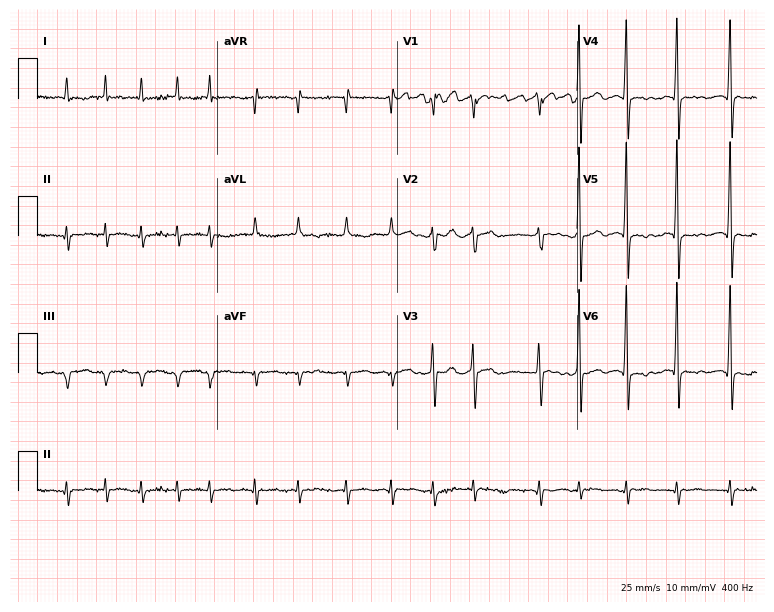
Standard 12-lead ECG recorded from a male patient, 82 years old (7.3-second recording at 400 Hz). The tracing shows atrial fibrillation.